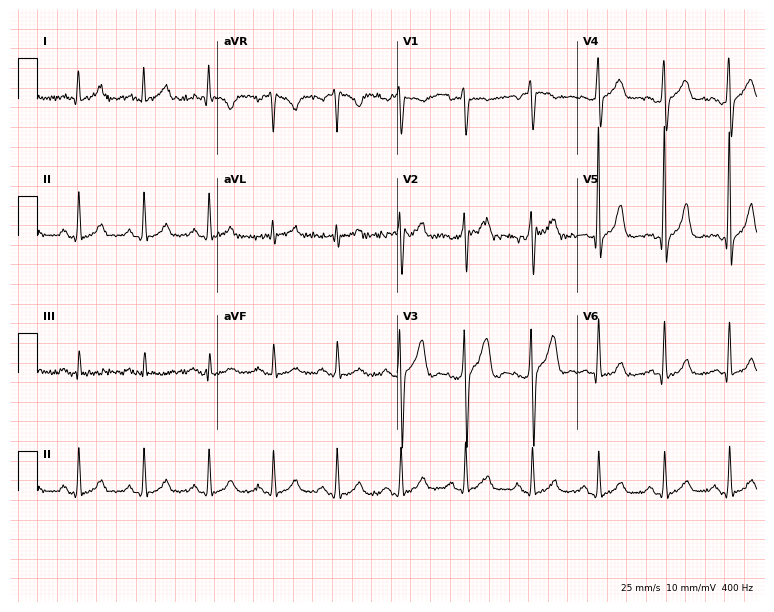
12-lead ECG from a 43-year-old male patient. Screened for six findings — first-degree AV block, right bundle branch block (RBBB), left bundle branch block (LBBB), sinus bradycardia, atrial fibrillation (AF), sinus tachycardia — none is recorded. Other findings, if any, are not listed.